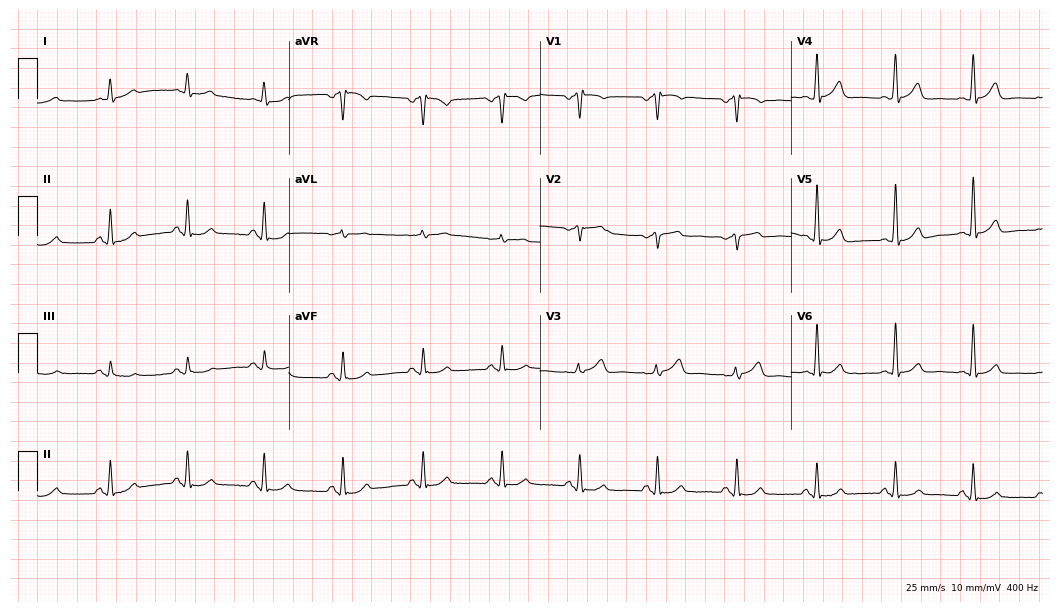
Resting 12-lead electrocardiogram. Patient: a 75-year-old male. Read as a normal ECG.